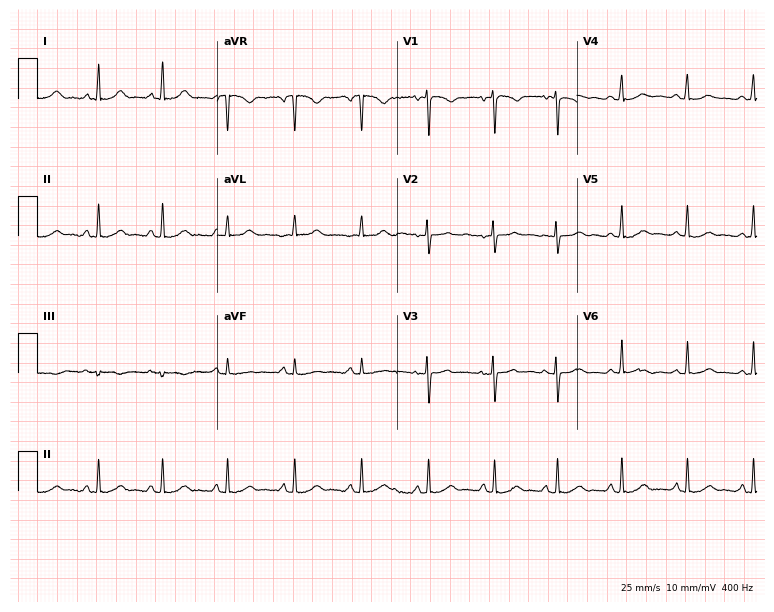
Resting 12-lead electrocardiogram (7.3-second recording at 400 Hz). Patient: a female, 28 years old. Read as a normal ECG.